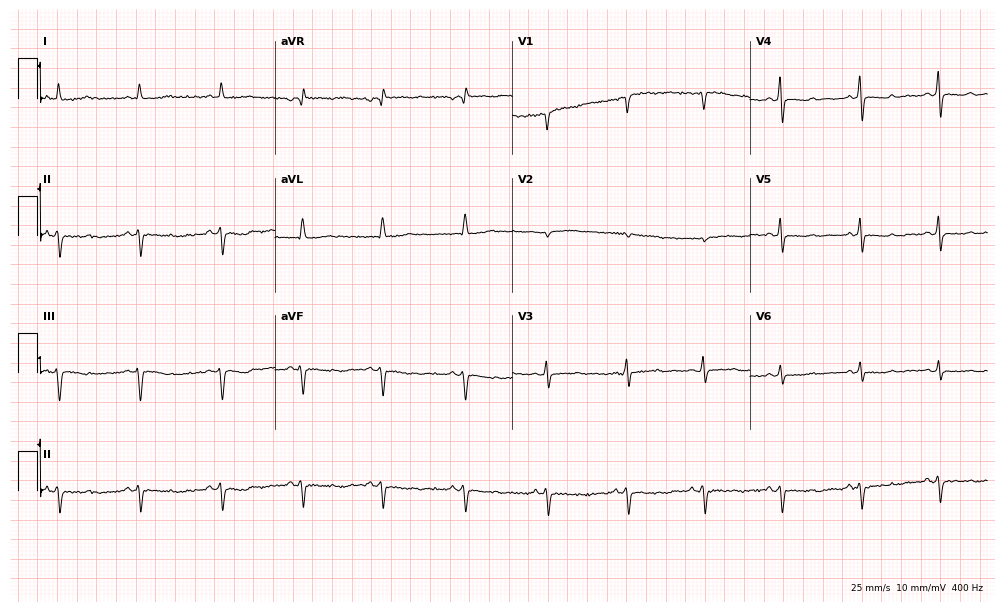
Electrocardiogram (9.7-second recording at 400 Hz), a woman, 52 years old. Of the six screened findings (first-degree AV block, right bundle branch block (RBBB), left bundle branch block (LBBB), sinus bradycardia, atrial fibrillation (AF), sinus tachycardia), none is recorded. Only these six findings were labelled.